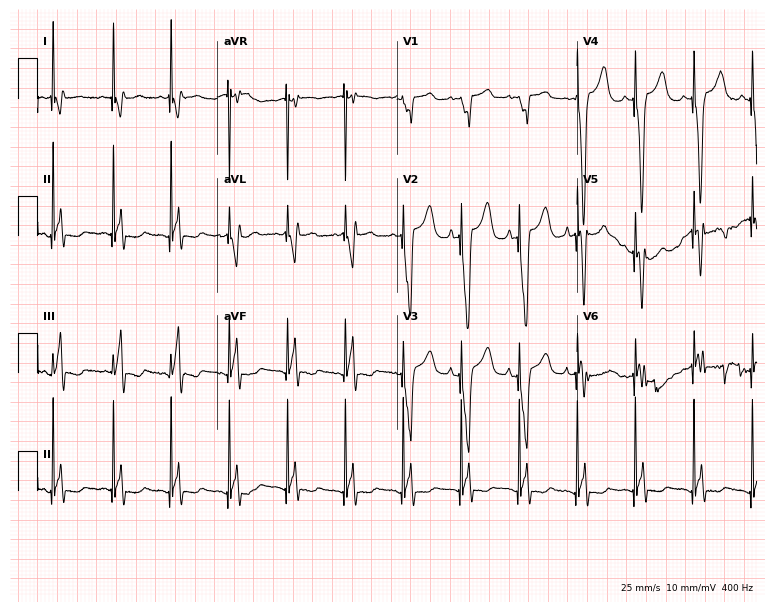
Standard 12-lead ECG recorded from a 77-year-old woman (7.3-second recording at 400 Hz). None of these six findings is recorded: first-degree AV block, right bundle branch block (RBBB), left bundle branch block (LBBB), sinus bradycardia, atrial fibrillation (AF), sinus tachycardia.